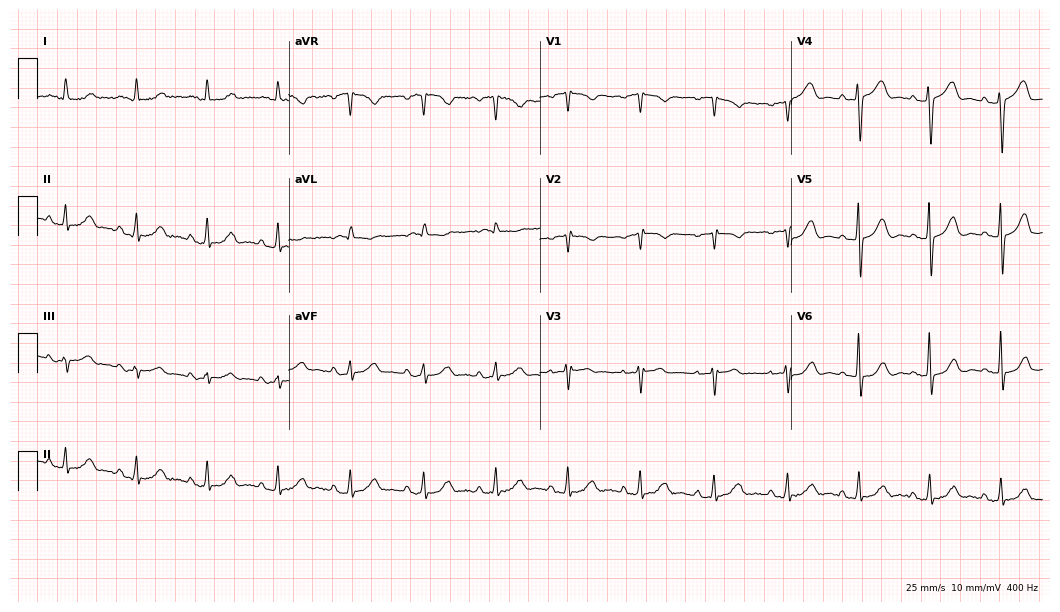
12-lead ECG from a female, 73 years old. Recorded interpretation: within normal limits.